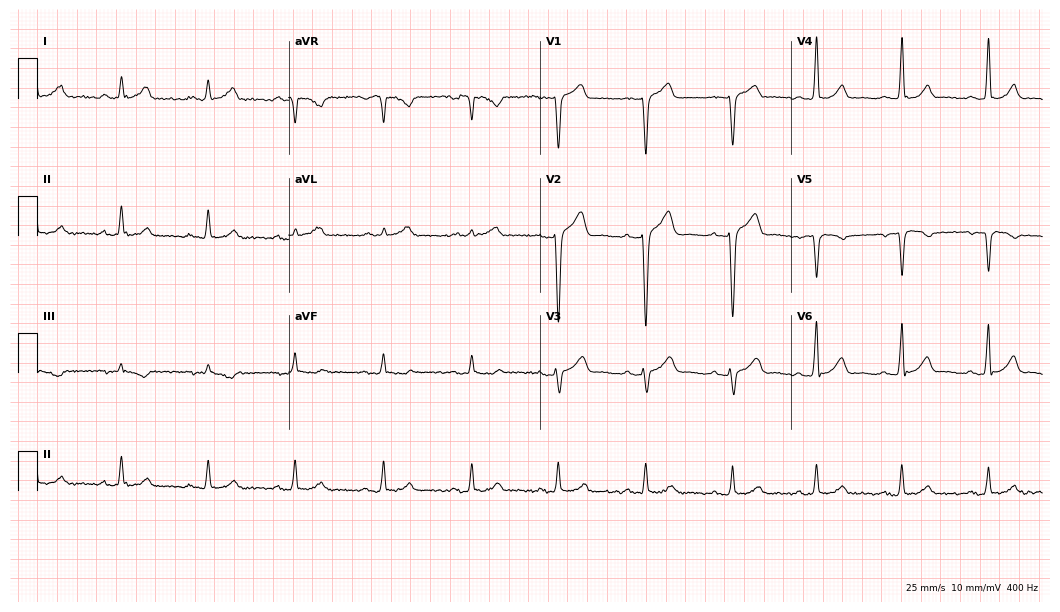
Electrocardiogram (10.2-second recording at 400 Hz), a male patient, 43 years old. Of the six screened findings (first-degree AV block, right bundle branch block (RBBB), left bundle branch block (LBBB), sinus bradycardia, atrial fibrillation (AF), sinus tachycardia), none is recorded.